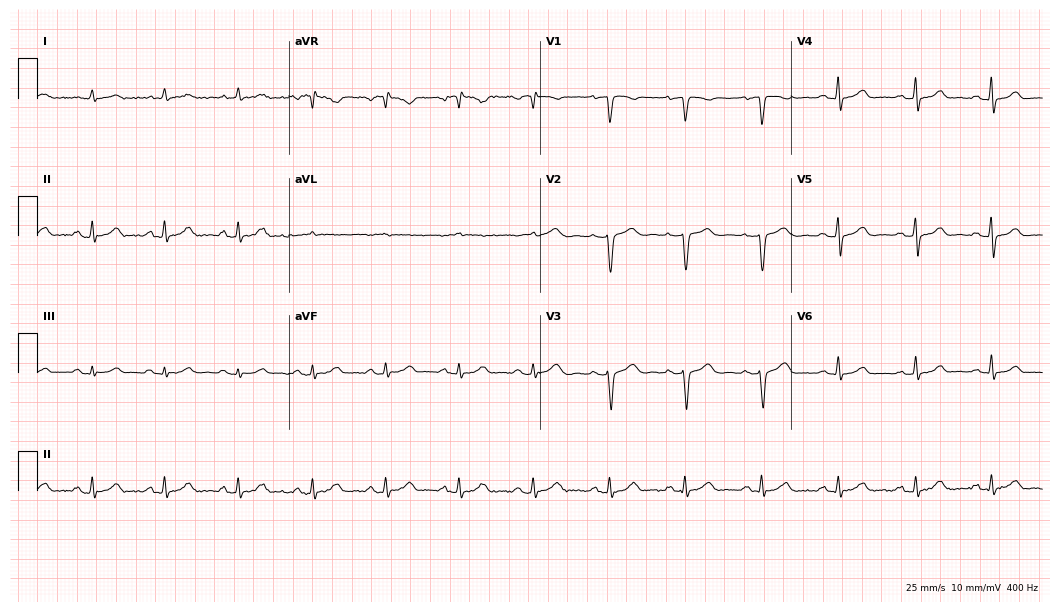
12-lead ECG from a female patient, 54 years old. Recorded interpretation: within normal limits.